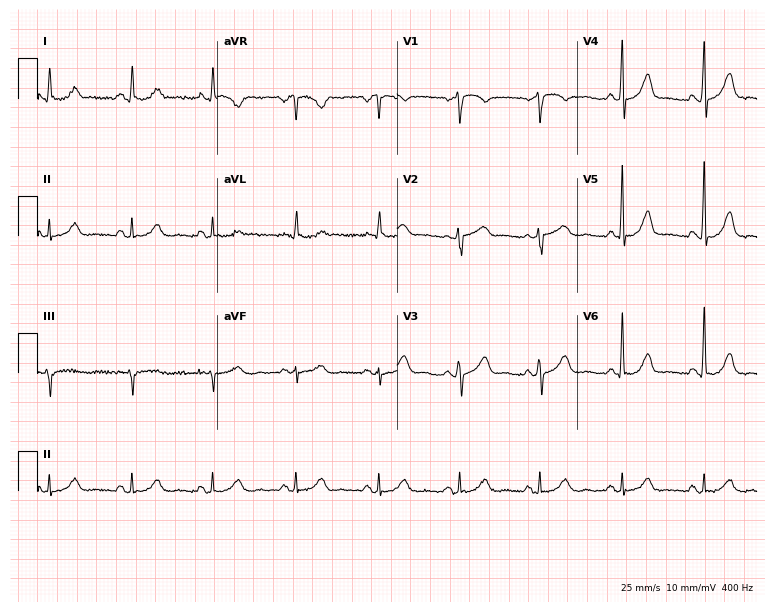
Standard 12-lead ECG recorded from a female patient, 74 years old. Read as a normal ECG.